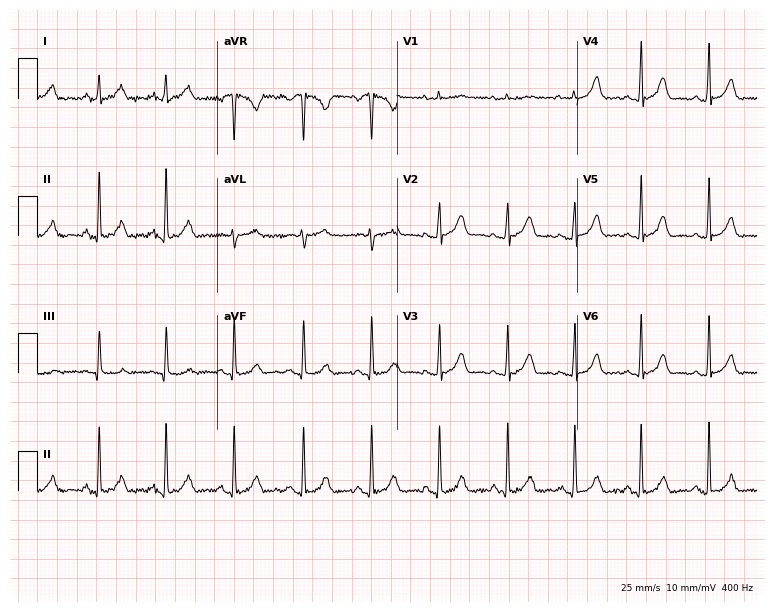
Electrocardiogram, a 21-year-old female patient. Overall reading on record: normal ECG.